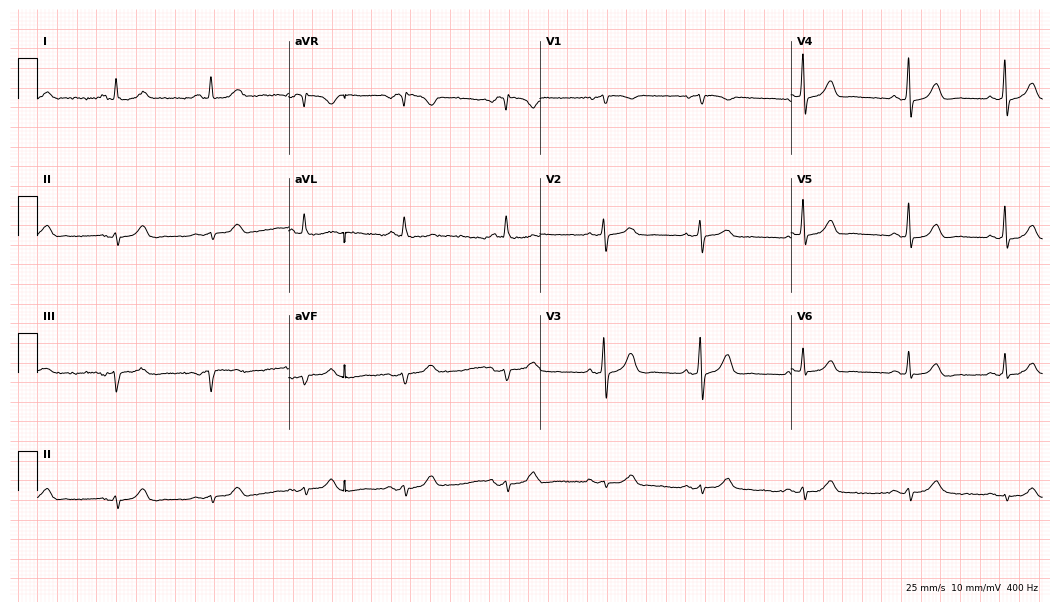
Electrocardiogram (10.2-second recording at 400 Hz), a man, 81 years old. Overall reading on record: normal ECG.